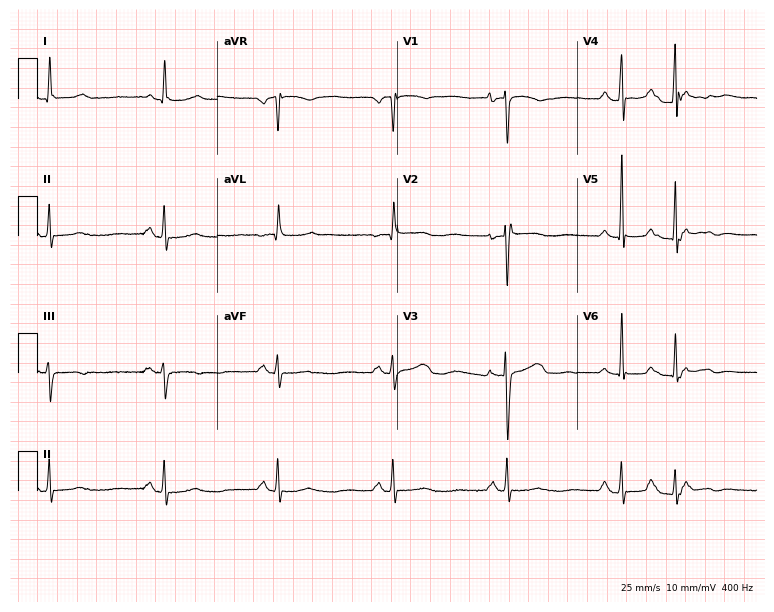
Resting 12-lead electrocardiogram (7.3-second recording at 400 Hz). Patient: a female, 85 years old. None of these six findings is recorded: first-degree AV block, right bundle branch block (RBBB), left bundle branch block (LBBB), sinus bradycardia, atrial fibrillation (AF), sinus tachycardia.